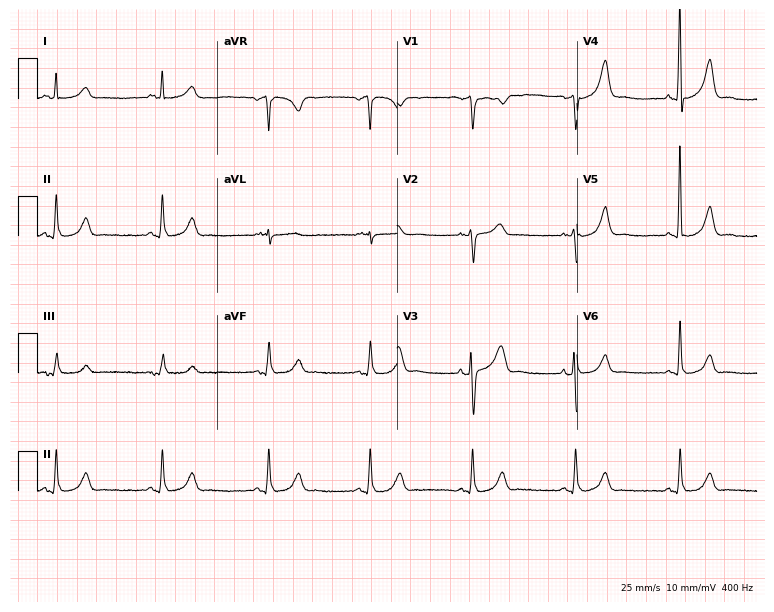
Resting 12-lead electrocardiogram. Patient: a man, 48 years old. Read as a normal ECG.